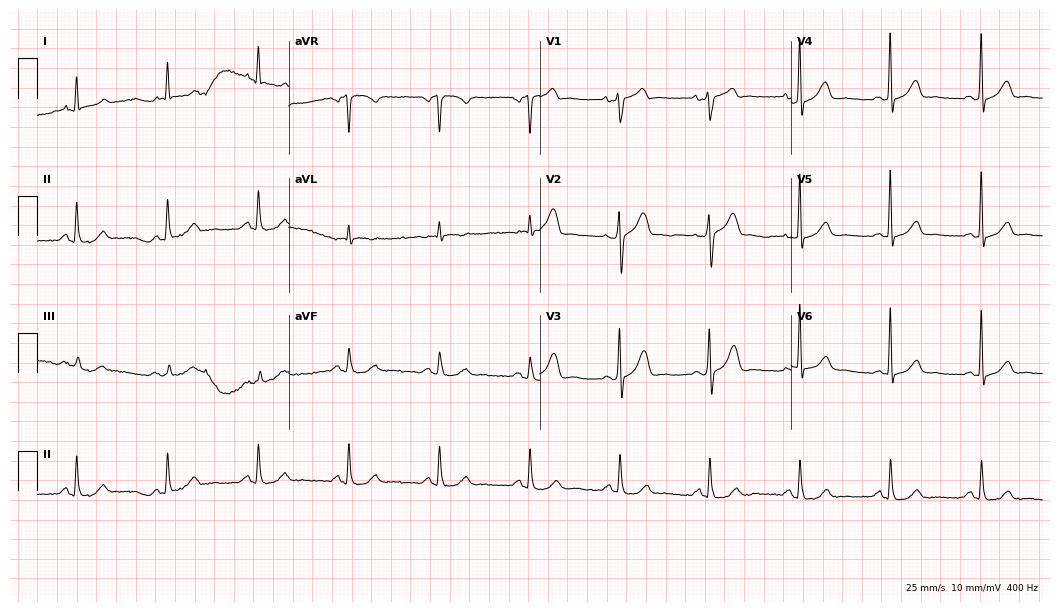
Electrocardiogram, a male patient, 73 years old. Overall reading on record: normal ECG.